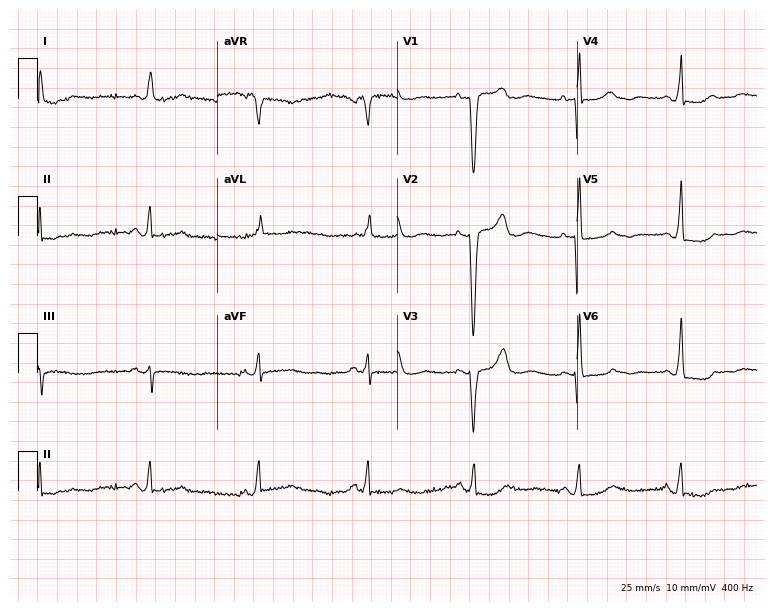
12-lead ECG from a woman, 74 years old (7.3-second recording at 400 Hz). No first-degree AV block, right bundle branch block, left bundle branch block, sinus bradycardia, atrial fibrillation or sinus tachycardia recorded for this tracing.